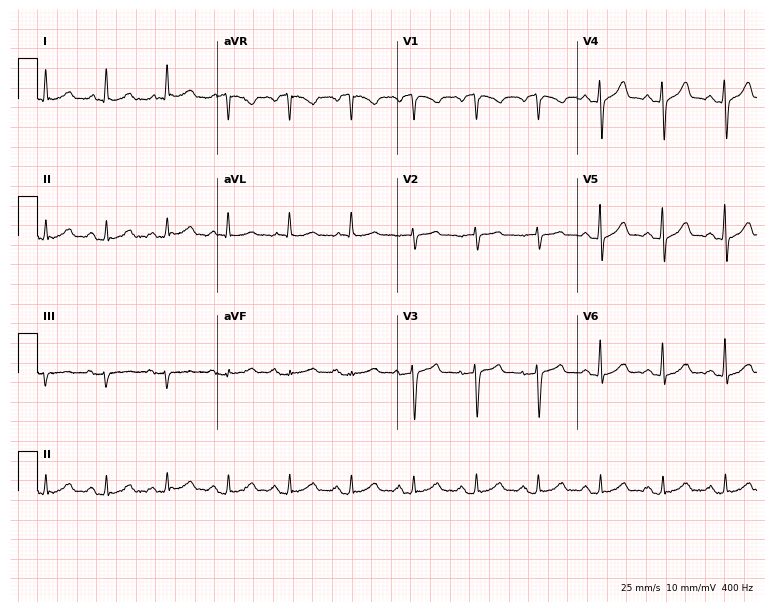
Standard 12-lead ECG recorded from a male patient, 78 years old. Read as a normal ECG.